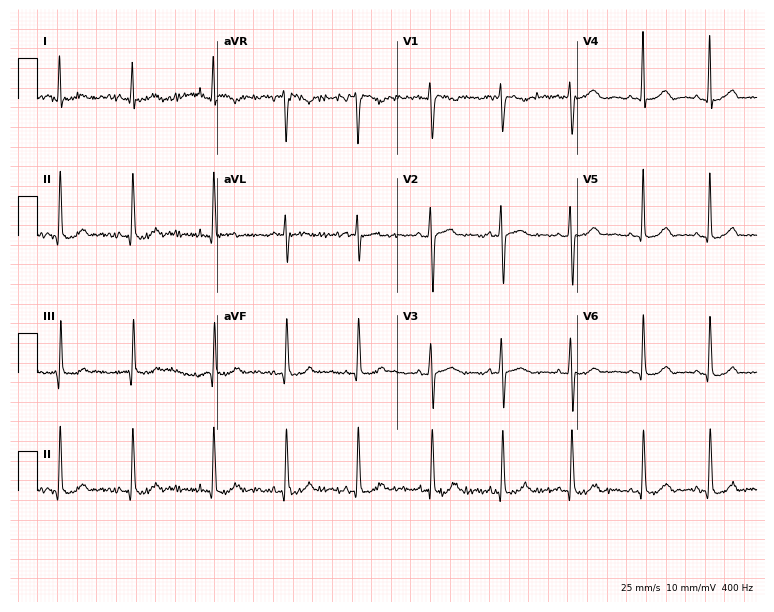
12-lead ECG from a female, 18 years old. Labelled as a normal ECG.